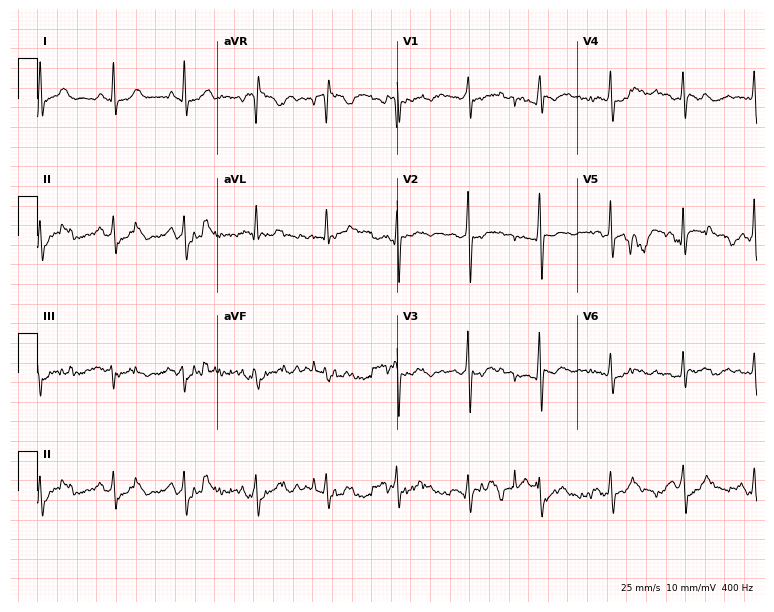
Standard 12-lead ECG recorded from a woman, 63 years old. None of these six findings is recorded: first-degree AV block, right bundle branch block, left bundle branch block, sinus bradycardia, atrial fibrillation, sinus tachycardia. Only these six findings were labelled.